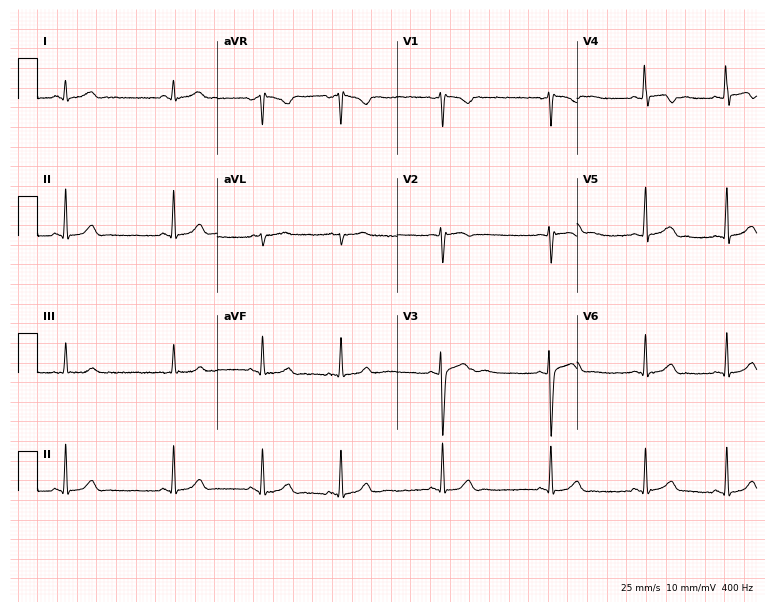
Resting 12-lead electrocardiogram. Patient: a female, 17 years old. Read as a normal ECG.